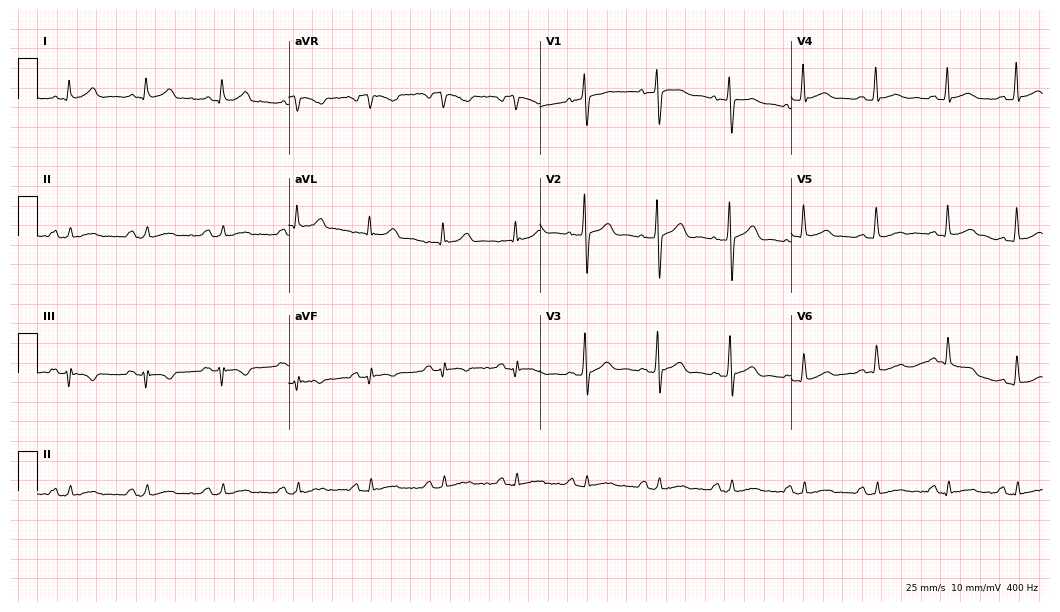
12-lead ECG from a 43-year-old male patient (10.2-second recording at 400 Hz). No first-degree AV block, right bundle branch block (RBBB), left bundle branch block (LBBB), sinus bradycardia, atrial fibrillation (AF) or sinus tachycardia recorded for this tracing.